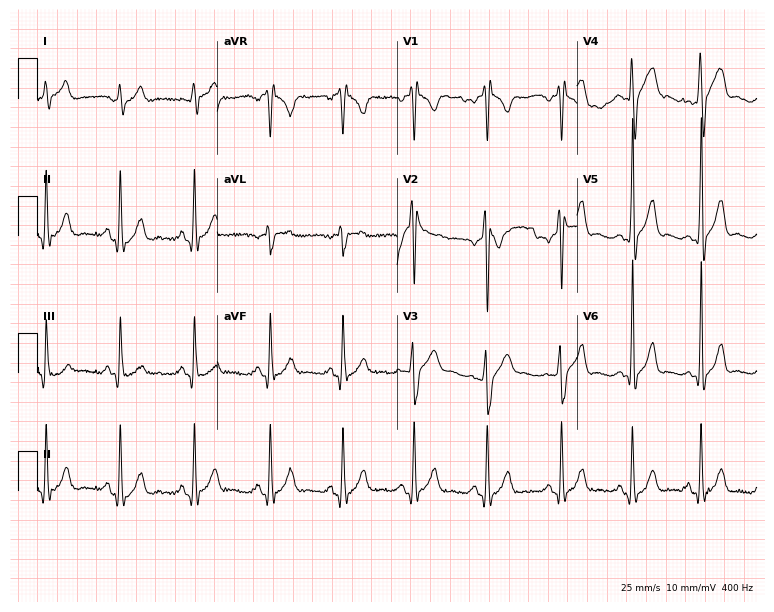
12-lead ECG from a 24-year-old male patient (7.3-second recording at 400 Hz). No first-degree AV block, right bundle branch block (RBBB), left bundle branch block (LBBB), sinus bradycardia, atrial fibrillation (AF) or sinus tachycardia recorded for this tracing.